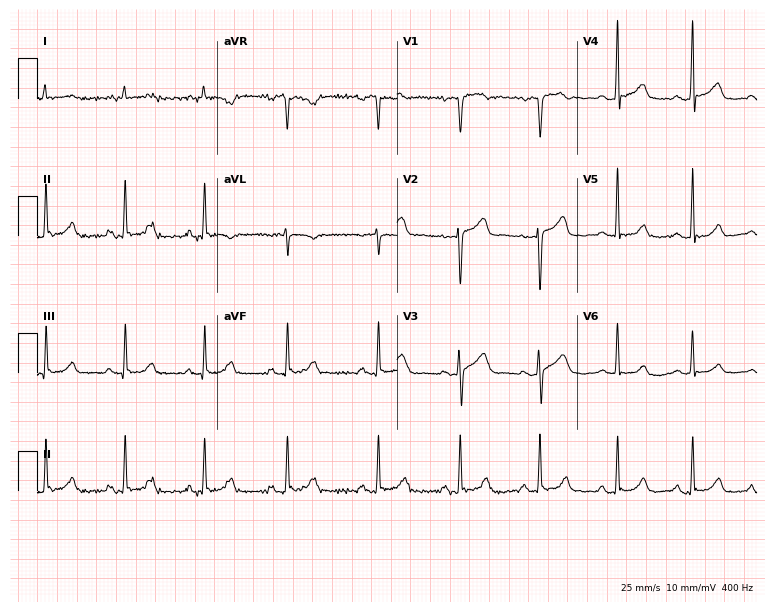
12-lead ECG from a 50-year-old woman. Labelled as a normal ECG.